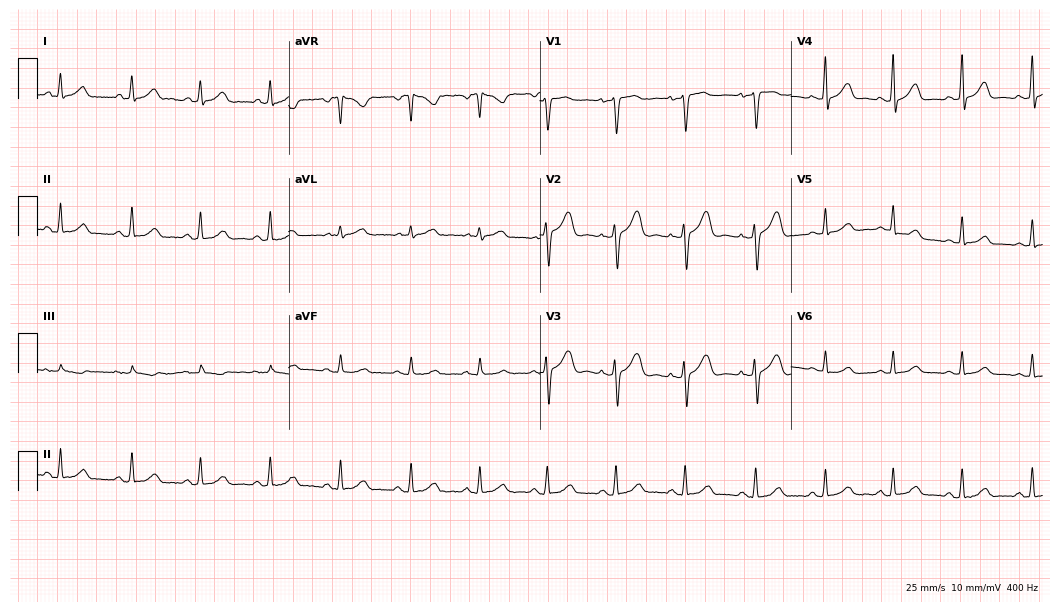
Standard 12-lead ECG recorded from a female patient, 48 years old. Read as a normal ECG.